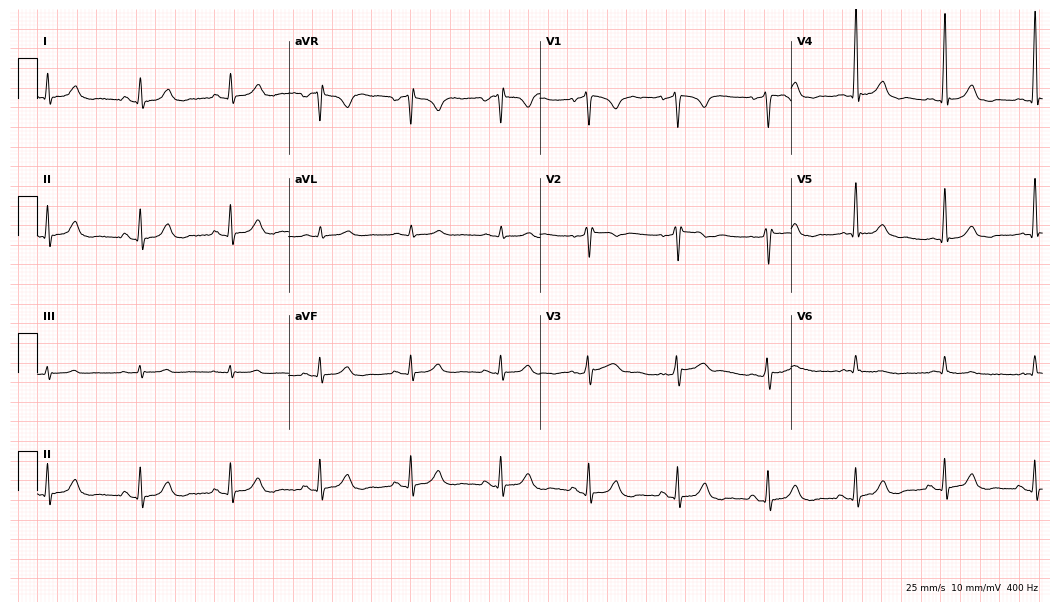
ECG (10.2-second recording at 400 Hz) — a 76-year-old man. Labelled as a normal ECG.